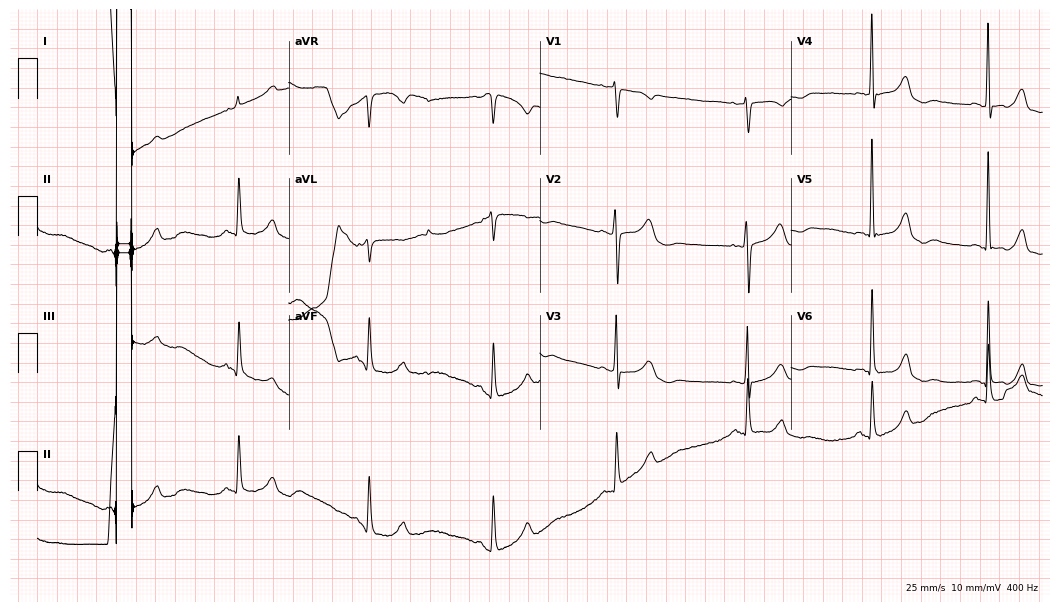
Resting 12-lead electrocardiogram. Patient: a woman, 62 years old. None of these six findings is recorded: first-degree AV block, right bundle branch block, left bundle branch block, sinus bradycardia, atrial fibrillation, sinus tachycardia. Other findings, if any, are not listed.